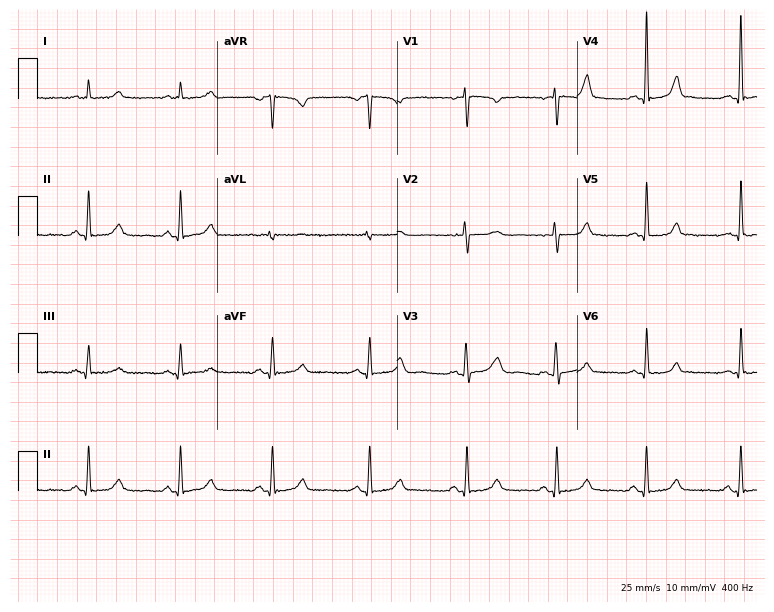
12-lead ECG from a 49-year-old woman (7.3-second recording at 400 Hz). Recorded interpretation: within normal limits.